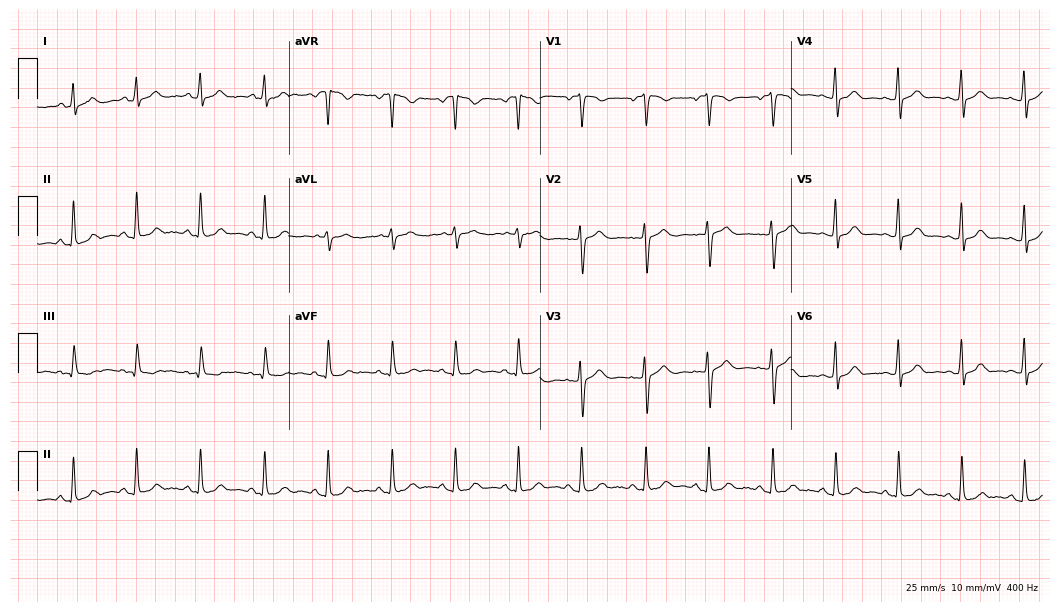
Electrocardiogram (10.2-second recording at 400 Hz), a female patient, 25 years old. Overall reading on record: normal ECG.